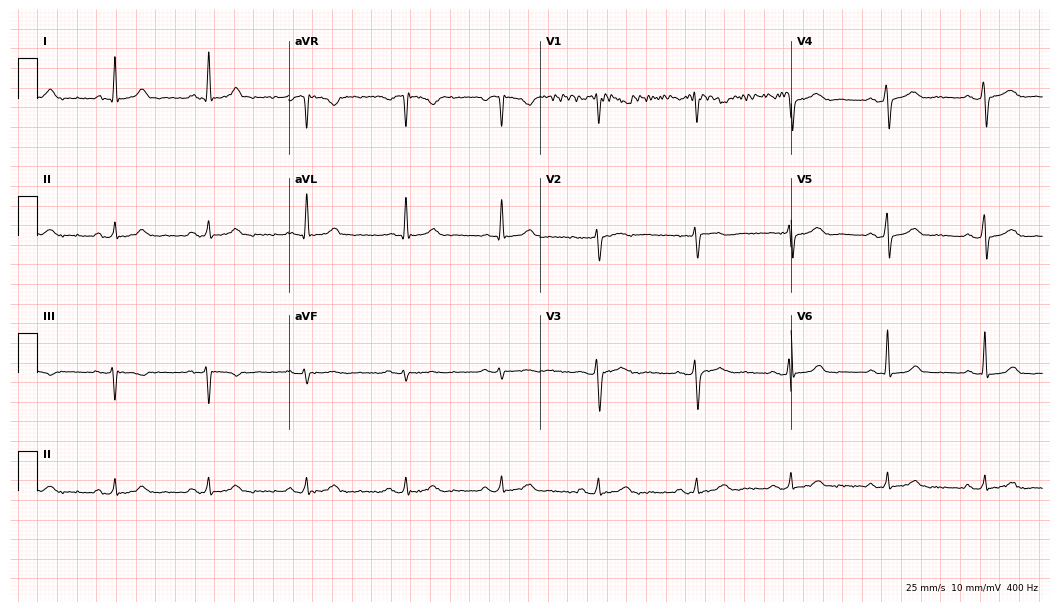
Electrocardiogram, a 49-year-old woman. Overall reading on record: normal ECG.